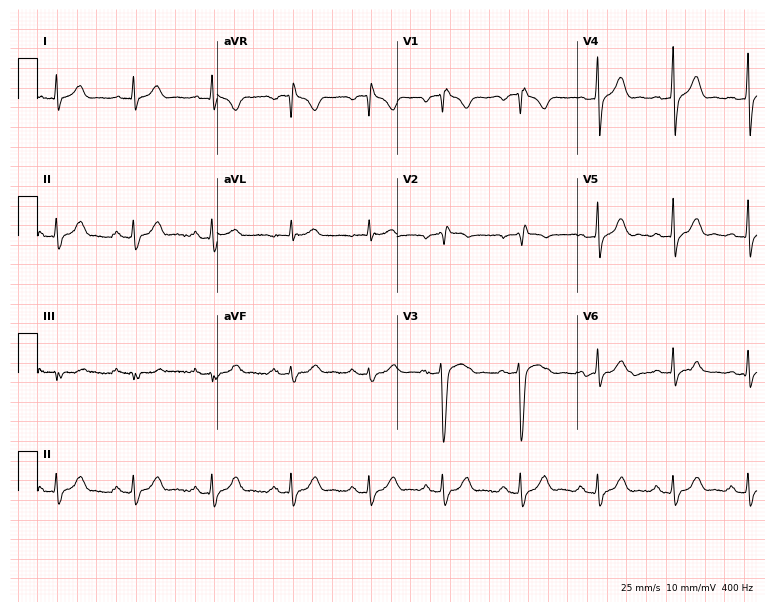
Electrocardiogram, a 40-year-old man. Of the six screened findings (first-degree AV block, right bundle branch block, left bundle branch block, sinus bradycardia, atrial fibrillation, sinus tachycardia), none is recorded. Other findings, if any, are not listed.